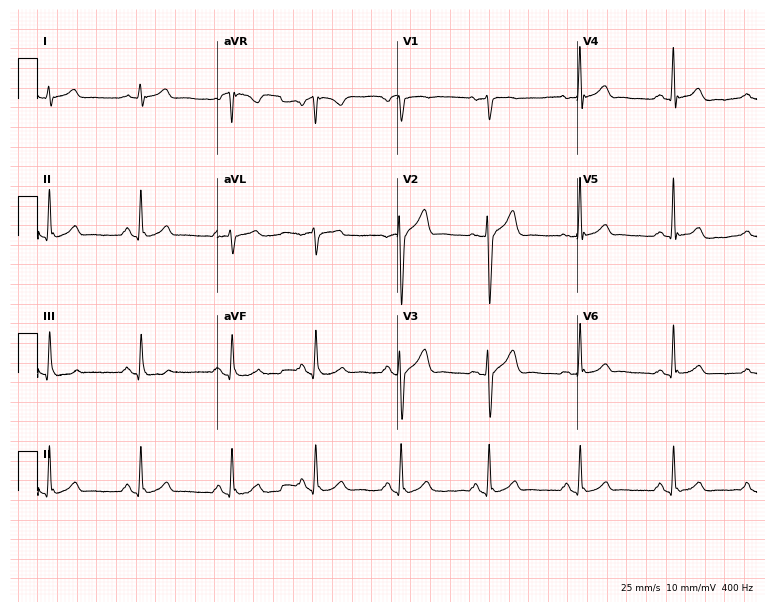
Electrocardiogram (7.3-second recording at 400 Hz), a male patient, 40 years old. Overall reading on record: normal ECG.